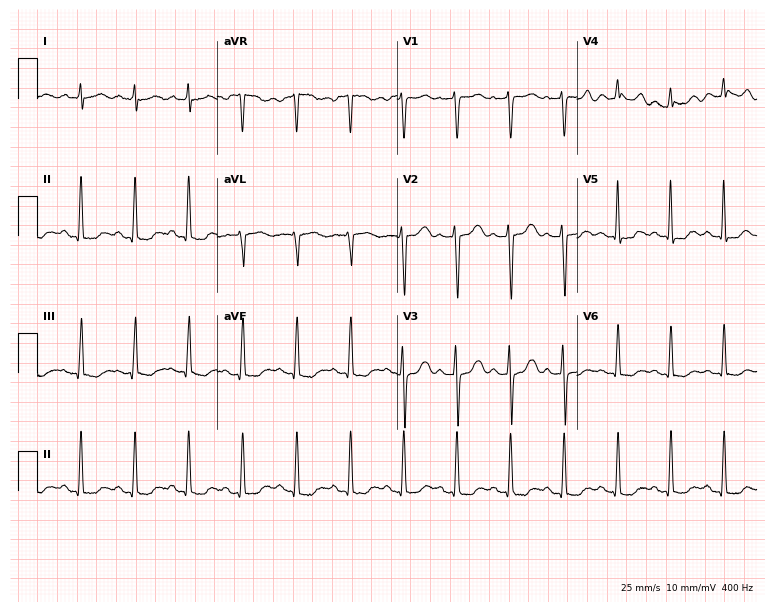
Electrocardiogram (7.3-second recording at 400 Hz), a woman, 43 years old. Interpretation includes sinus tachycardia (a sinus rate of 100 beats per minute or more).